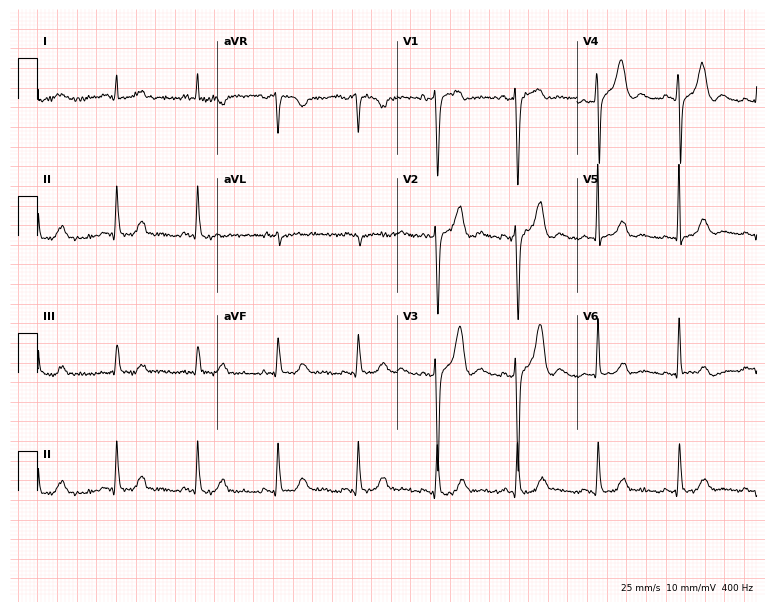
Resting 12-lead electrocardiogram. Patient: a 78-year-old female. None of these six findings is recorded: first-degree AV block, right bundle branch block, left bundle branch block, sinus bradycardia, atrial fibrillation, sinus tachycardia. Other findings, if any, are not listed.